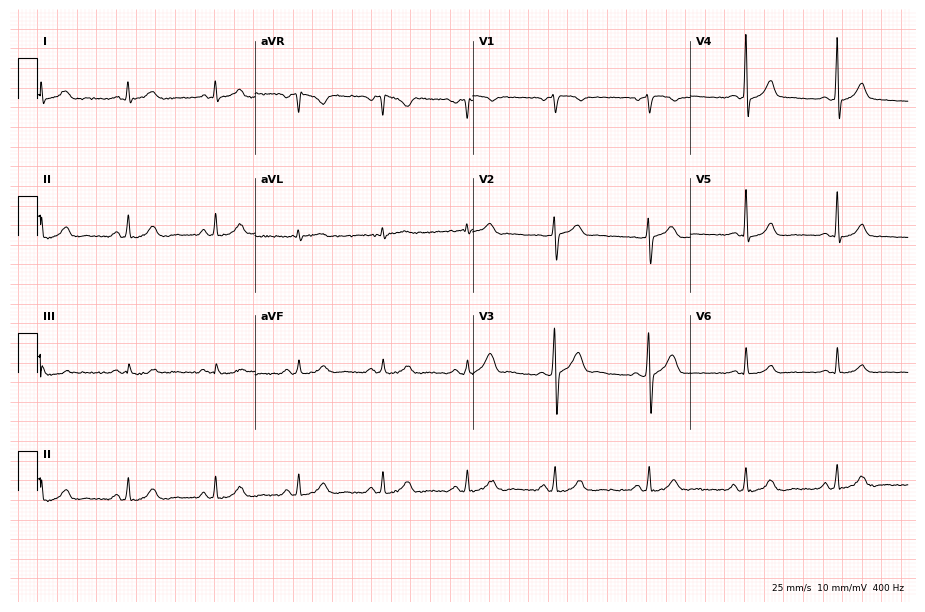
12-lead ECG from a man, 30 years old. No first-degree AV block, right bundle branch block, left bundle branch block, sinus bradycardia, atrial fibrillation or sinus tachycardia recorded for this tracing.